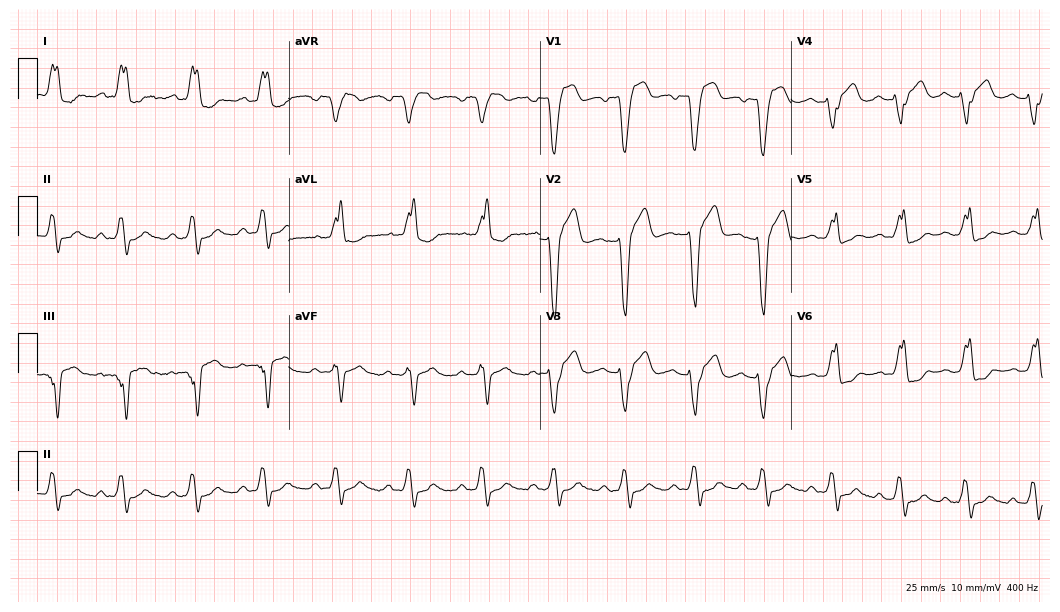
Standard 12-lead ECG recorded from a female patient, 42 years old (10.2-second recording at 400 Hz). The tracing shows left bundle branch block.